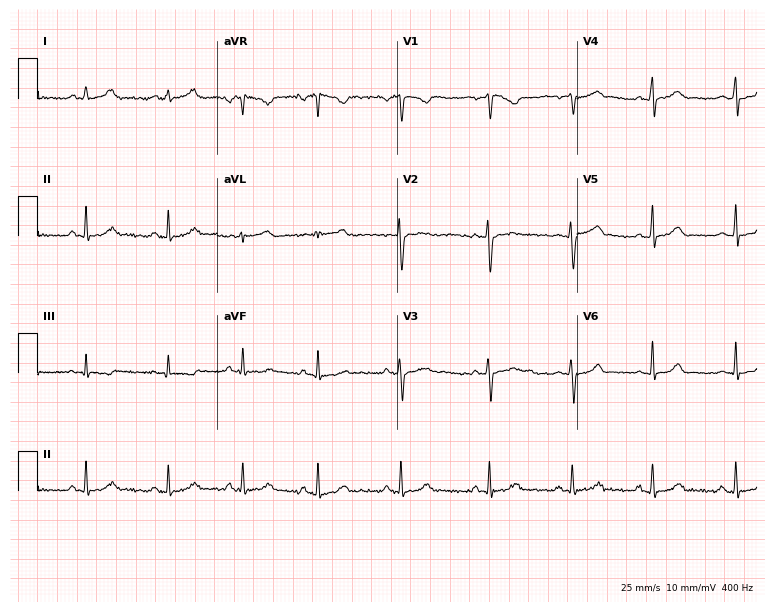
Resting 12-lead electrocardiogram. Patient: a woman, 20 years old. Read as a normal ECG.